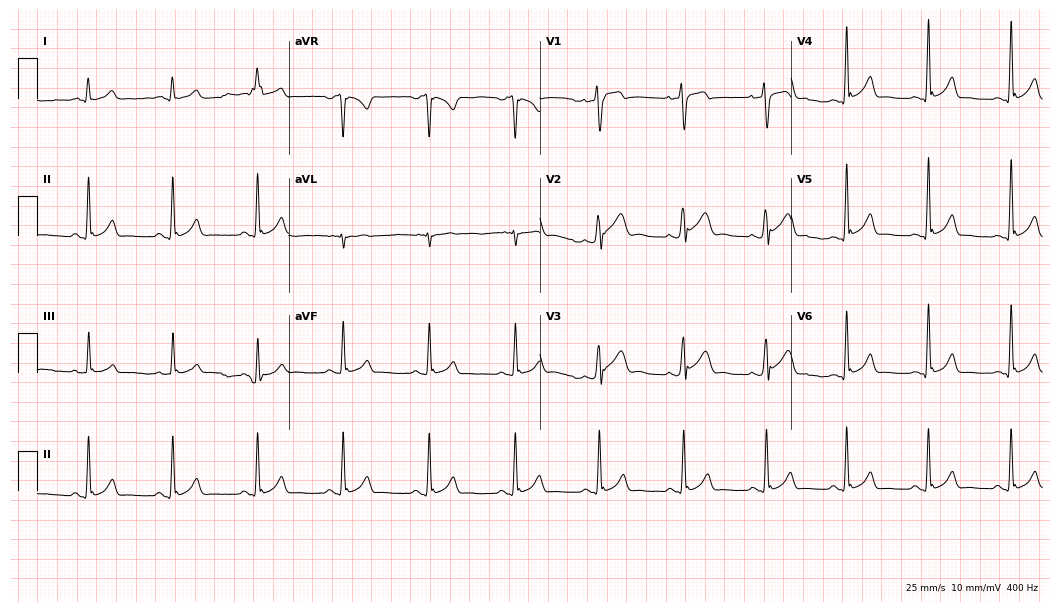
12-lead ECG from a 24-year-old male patient. Labelled as a normal ECG.